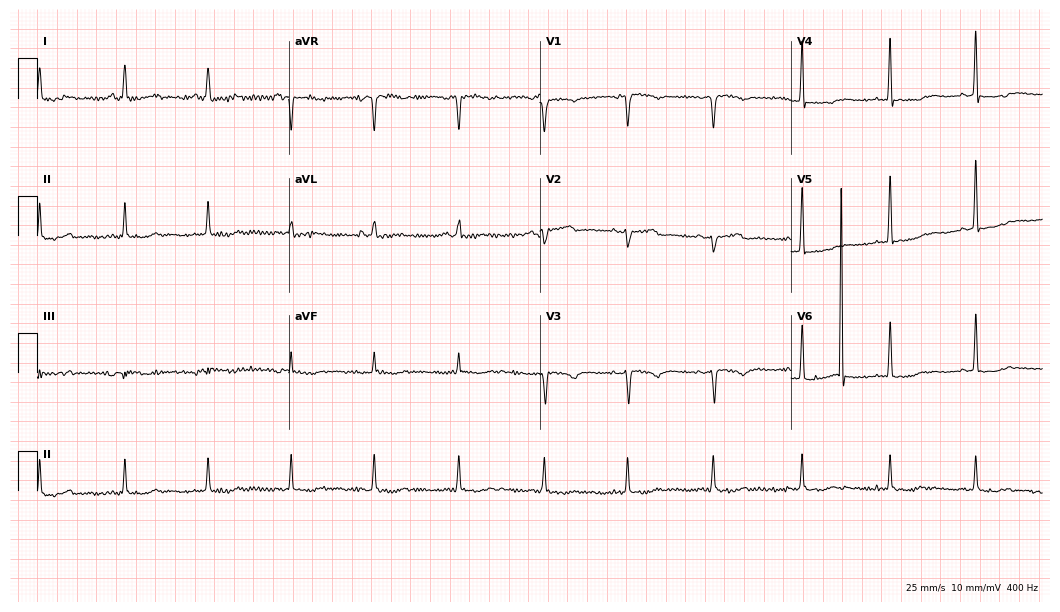
12-lead ECG from a 54-year-old female. No first-degree AV block, right bundle branch block, left bundle branch block, sinus bradycardia, atrial fibrillation or sinus tachycardia recorded for this tracing. Other findings, if any, are not listed.